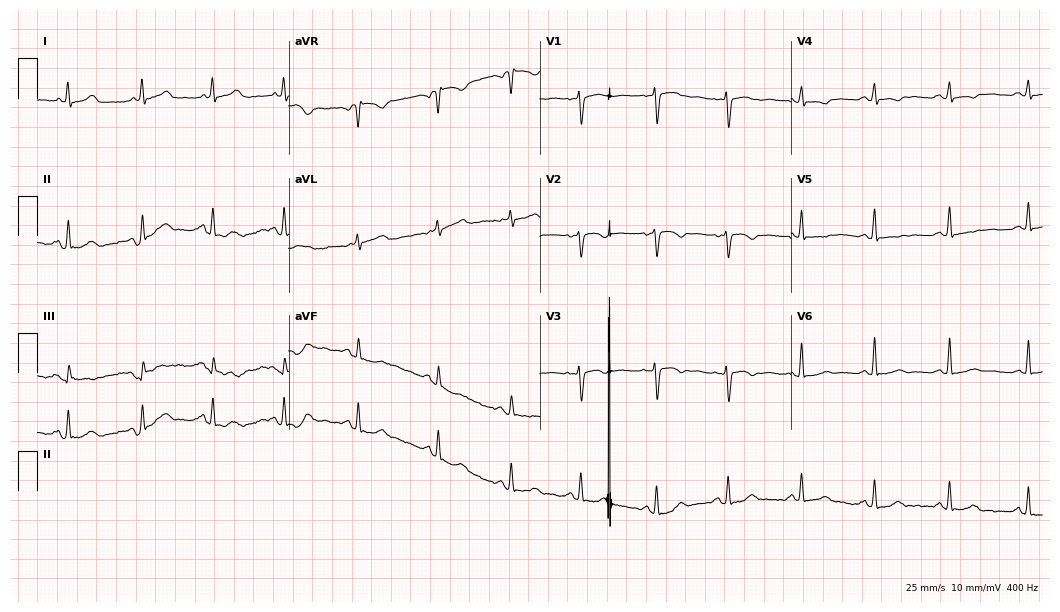
Electrocardiogram, a 39-year-old woman. Of the six screened findings (first-degree AV block, right bundle branch block, left bundle branch block, sinus bradycardia, atrial fibrillation, sinus tachycardia), none is recorded. Other findings, if any, are not listed.